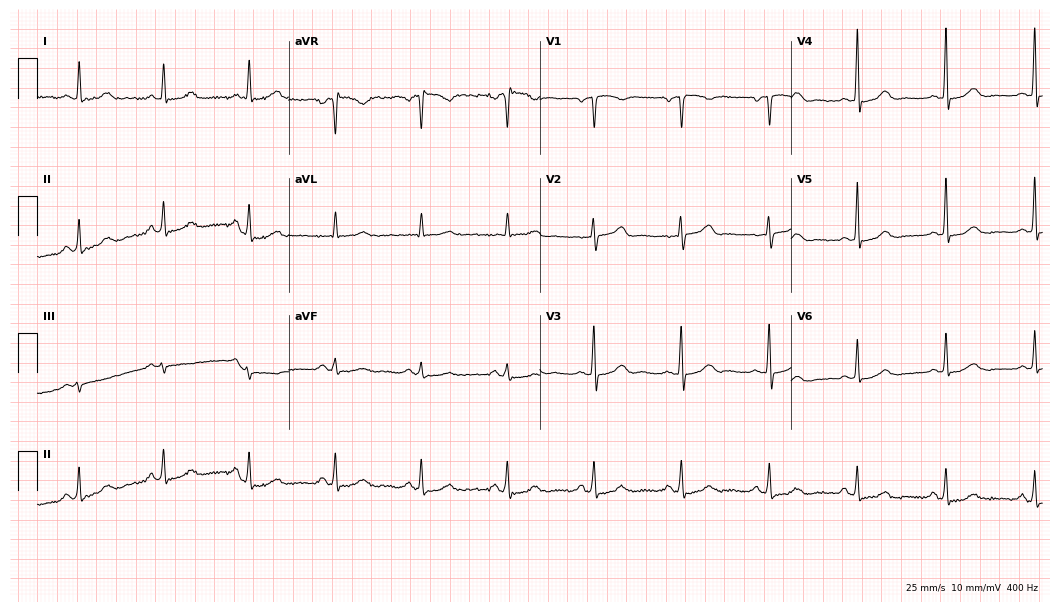
Standard 12-lead ECG recorded from a 62-year-old female patient. None of these six findings is recorded: first-degree AV block, right bundle branch block (RBBB), left bundle branch block (LBBB), sinus bradycardia, atrial fibrillation (AF), sinus tachycardia. Other findings, if any, are not listed.